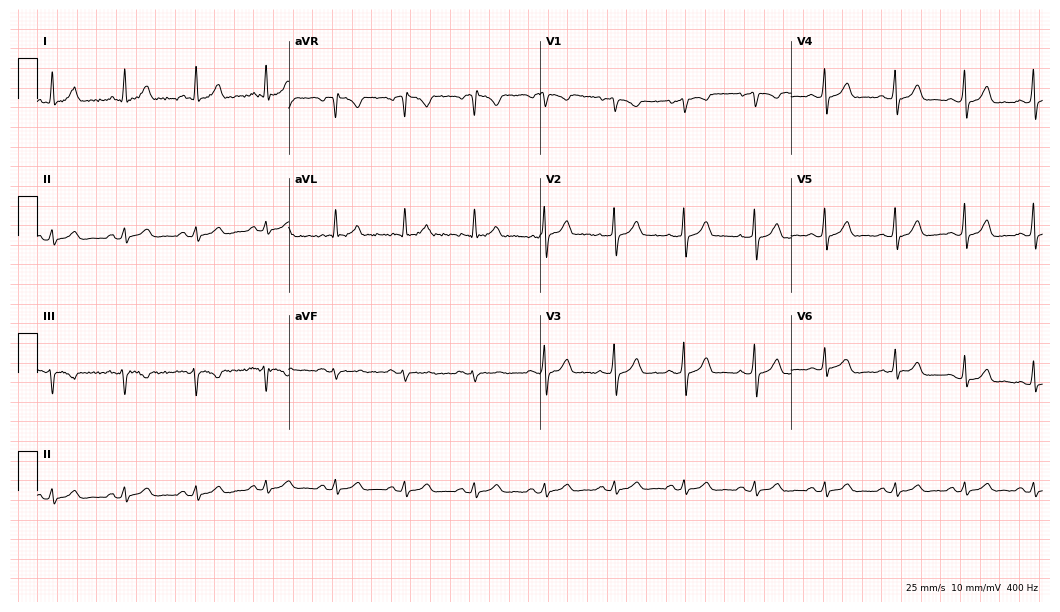
12-lead ECG from a male patient, 52 years old (10.2-second recording at 400 Hz). Recorded interpretation: within normal limits.